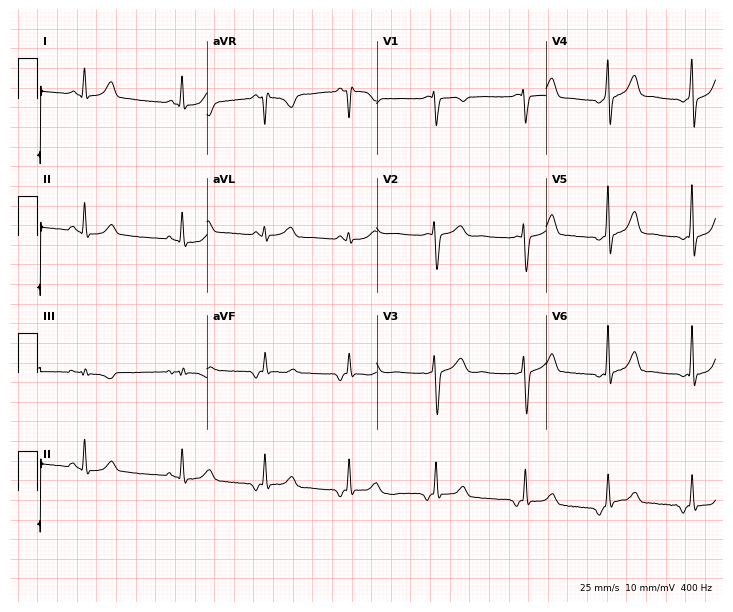
ECG (6.9-second recording at 400 Hz) — a female, 41 years old. Screened for six findings — first-degree AV block, right bundle branch block (RBBB), left bundle branch block (LBBB), sinus bradycardia, atrial fibrillation (AF), sinus tachycardia — none is recorded.